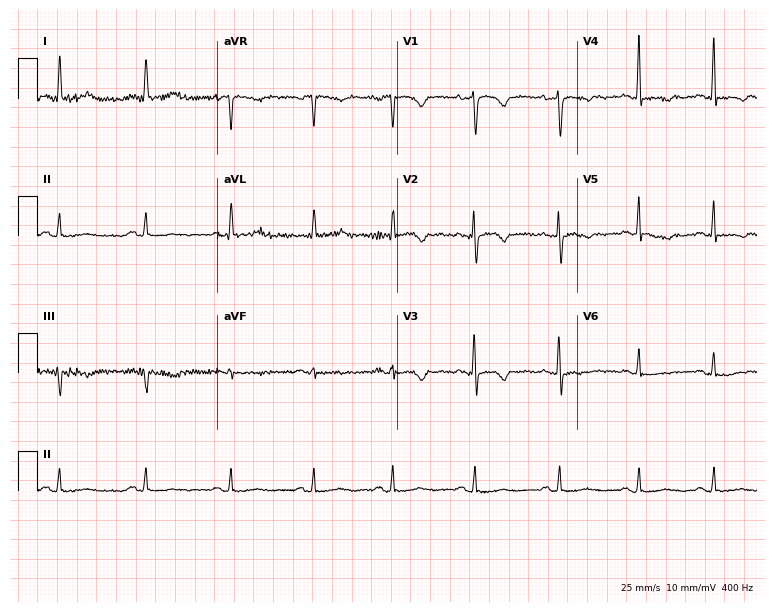
12-lead ECG from a 55-year-old female (7.3-second recording at 400 Hz). No first-degree AV block, right bundle branch block (RBBB), left bundle branch block (LBBB), sinus bradycardia, atrial fibrillation (AF) or sinus tachycardia recorded for this tracing.